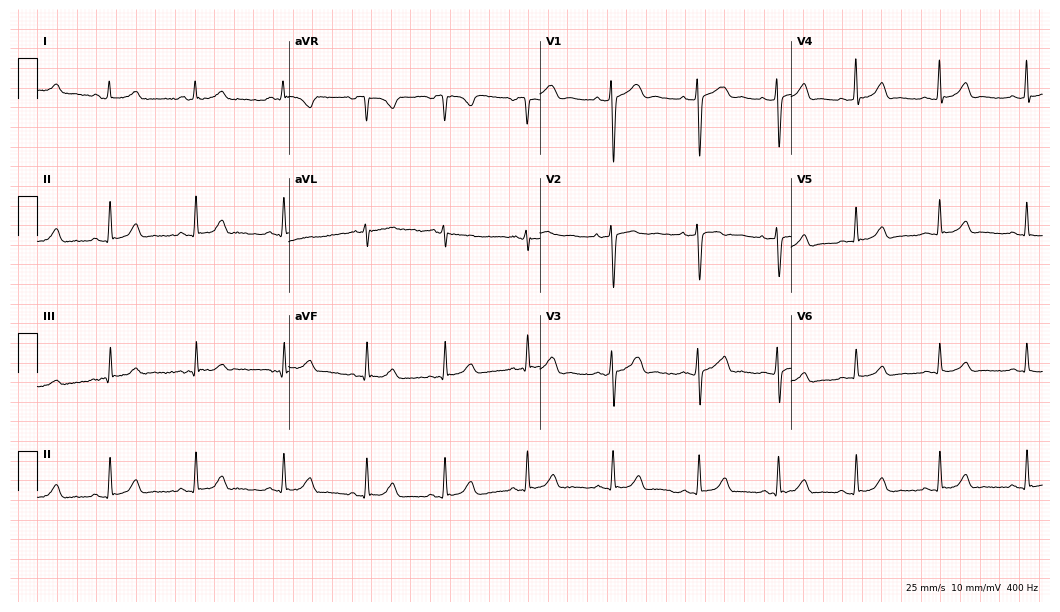
Resting 12-lead electrocardiogram (10.2-second recording at 400 Hz). Patient: a male, 22 years old. Read as a normal ECG.